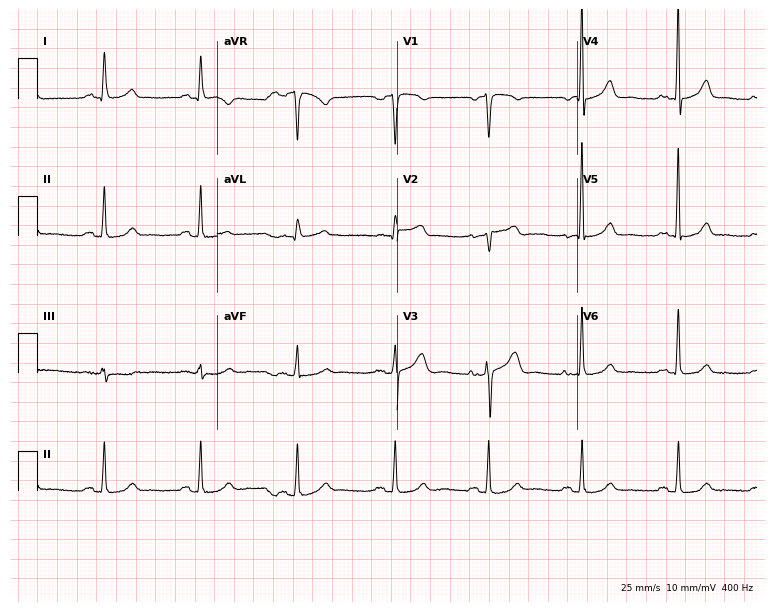
12-lead ECG from a 58-year-old female patient. Labelled as a normal ECG.